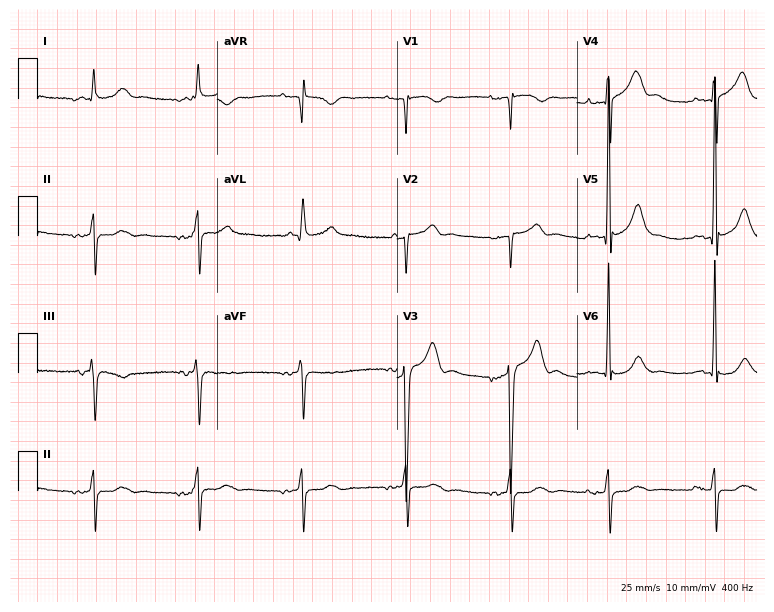
ECG — a 64-year-old male. Labelled as a normal ECG.